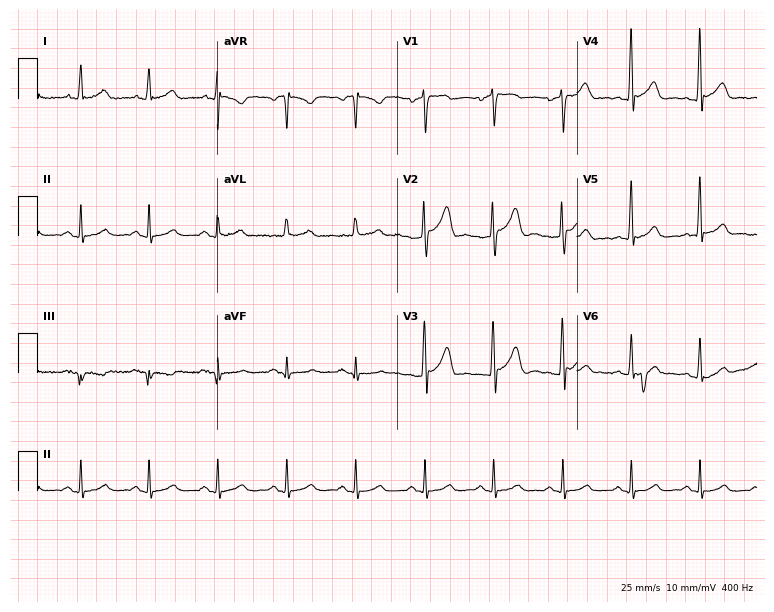
12-lead ECG from a male, 38 years old. No first-degree AV block, right bundle branch block (RBBB), left bundle branch block (LBBB), sinus bradycardia, atrial fibrillation (AF) or sinus tachycardia recorded for this tracing. Findings outside these six are not listed.